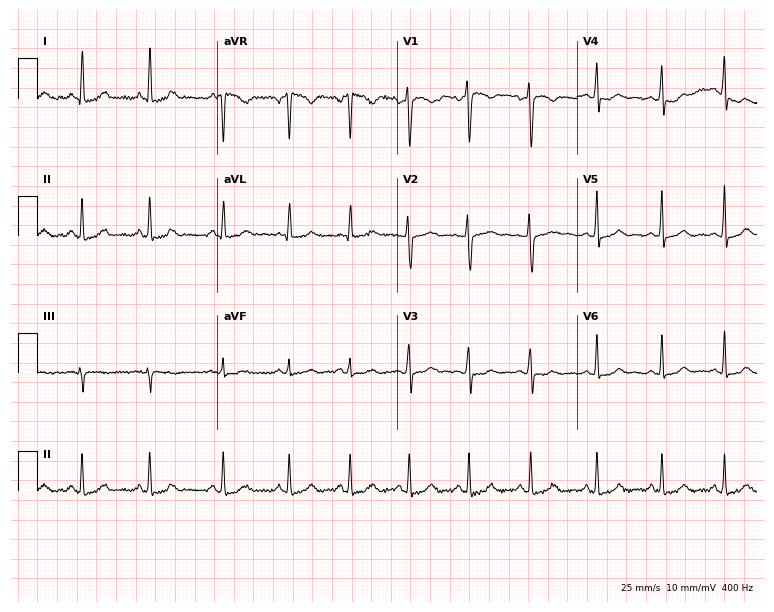
ECG (7.3-second recording at 400 Hz) — a 28-year-old female. Screened for six findings — first-degree AV block, right bundle branch block, left bundle branch block, sinus bradycardia, atrial fibrillation, sinus tachycardia — none is recorded. Only these six findings were labelled.